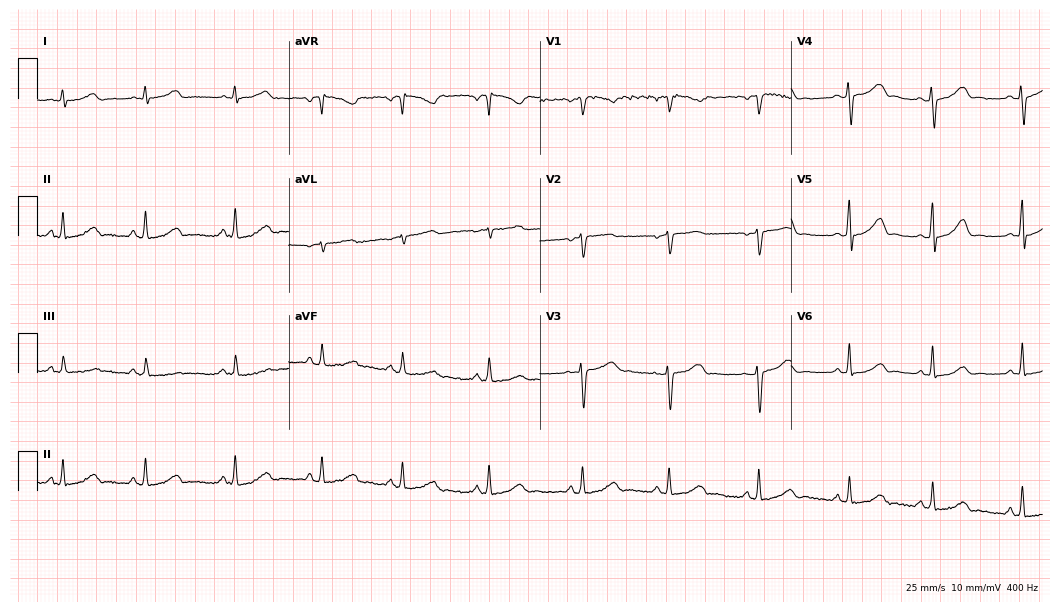
Standard 12-lead ECG recorded from a 44-year-old female patient. Read as a normal ECG.